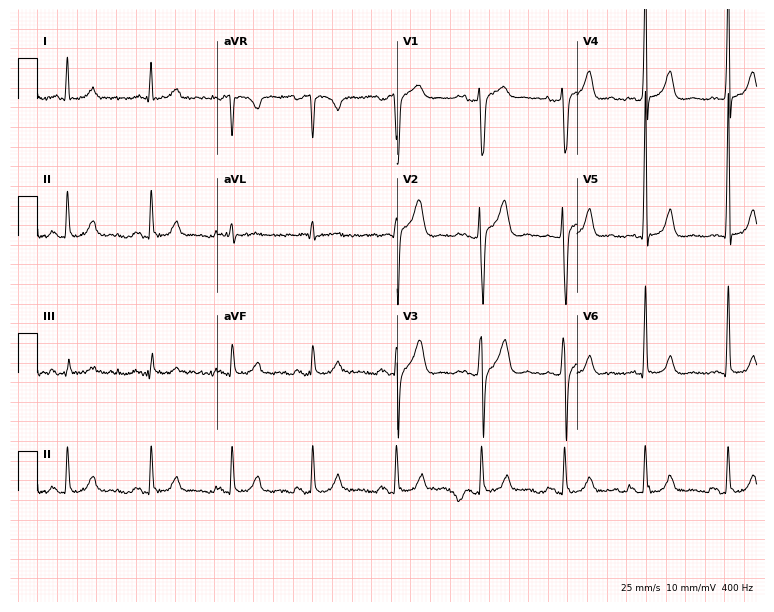
Electrocardiogram, a man, 48 years old. Overall reading on record: normal ECG.